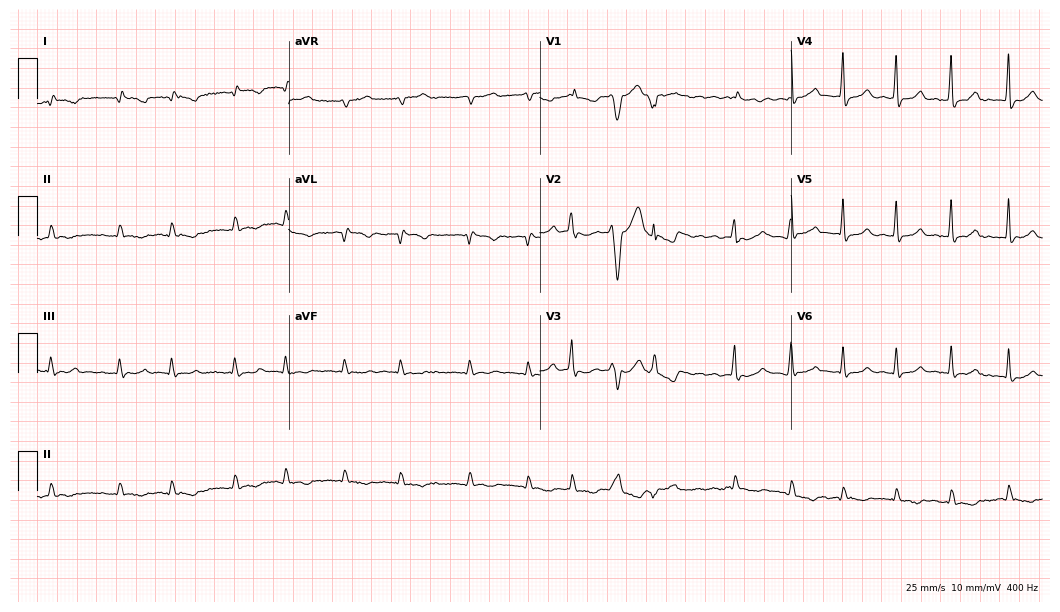
12-lead ECG from a male, 82 years old. No first-degree AV block, right bundle branch block, left bundle branch block, sinus bradycardia, atrial fibrillation or sinus tachycardia recorded for this tracing.